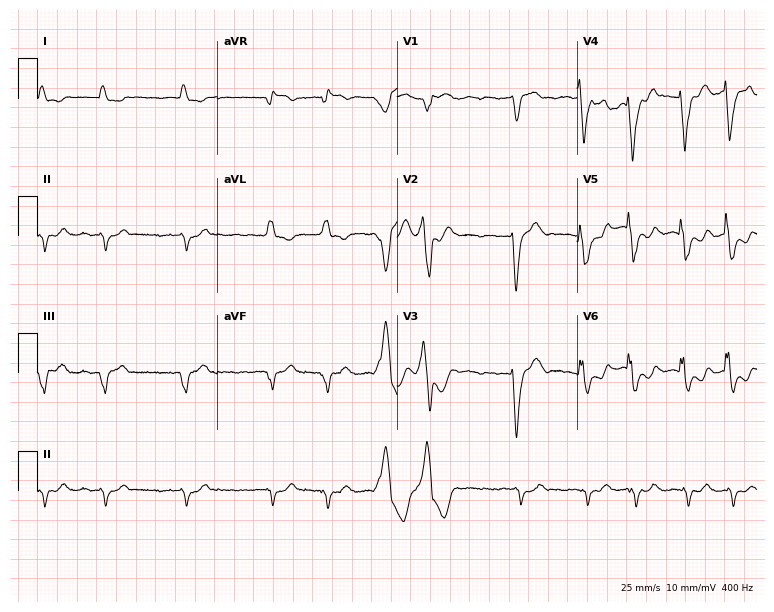
12-lead ECG from a male patient, 73 years old. Shows left bundle branch block (LBBB), atrial fibrillation (AF).